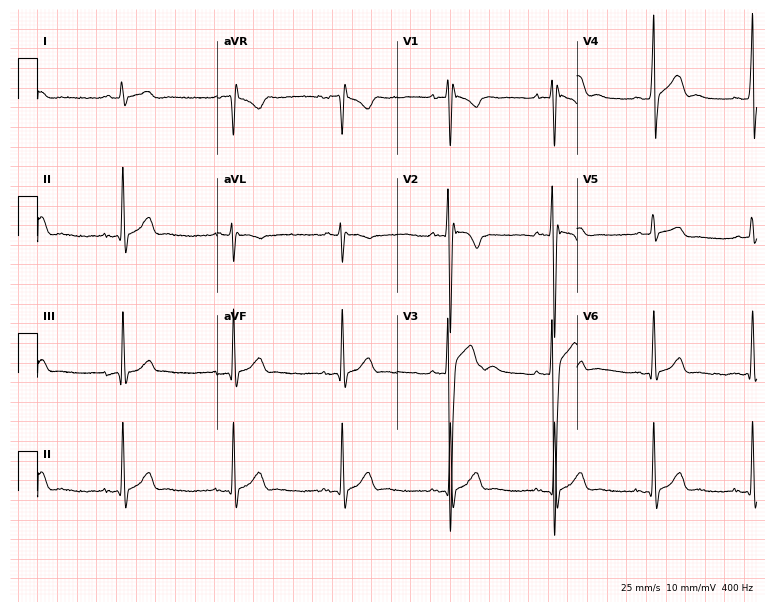
Resting 12-lead electrocardiogram (7.3-second recording at 400 Hz). Patient: a 19-year-old male. None of these six findings is recorded: first-degree AV block, right bundle branch block, left bundle branch block, sinus bradycardia, atrial fibrillation, sinus tachycardia. Findings outside these six are not listed.